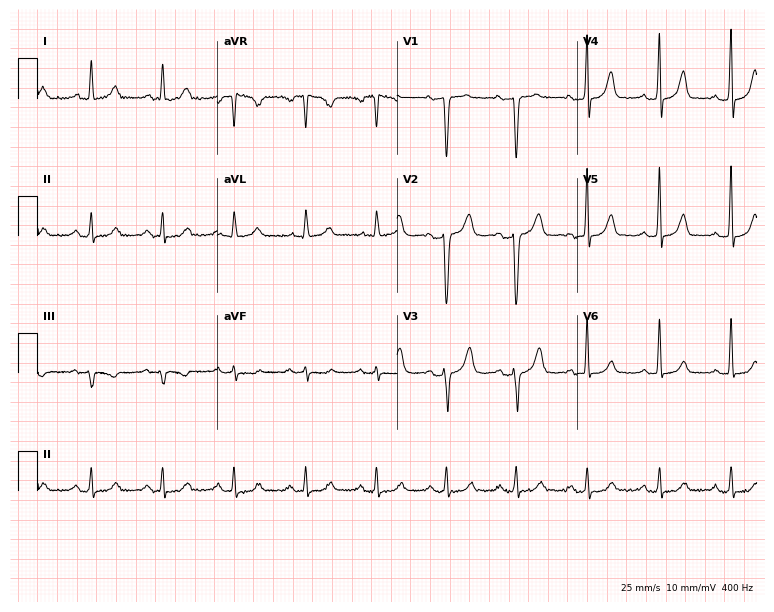
12-lead ECG from a woman, 56 years old (7.3-second recording at 400 Hz). Recorded interpretation: within normal limits.